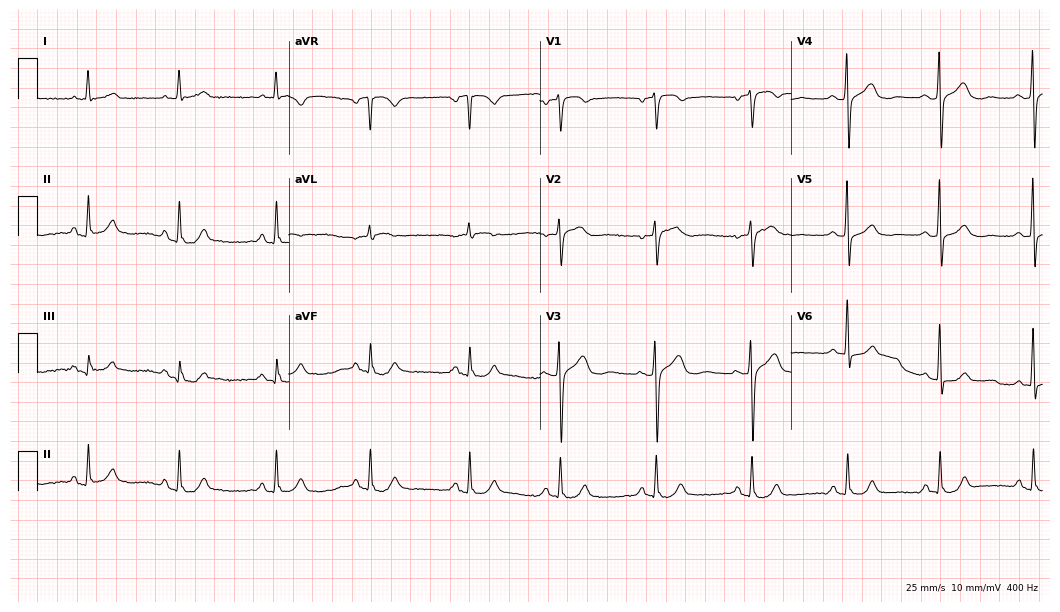
ECG (10.2-second recording at 400 Hz) — a 71-year-old female patient. Labelled as a normal ECG.